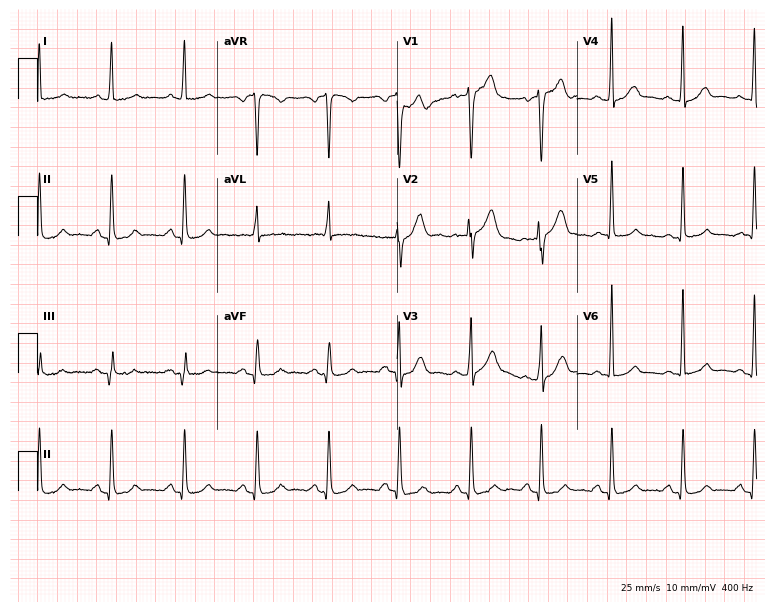
ECG — a 79-year-old male. Labelled as a normal ECG.